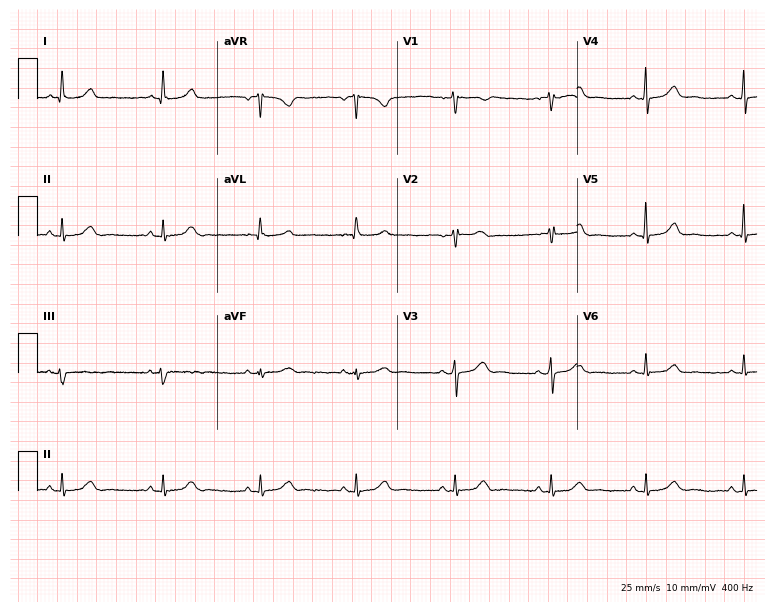
ECG — a 57-year-old female. Labelled as a normal ECG.